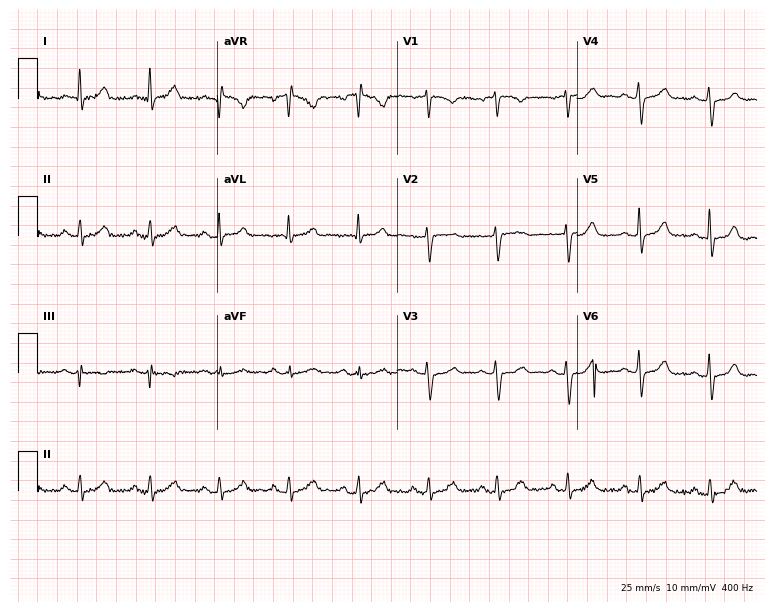
Electrocardiogram, a female patient, 56 years old. Overall reading on record: normal ECG.